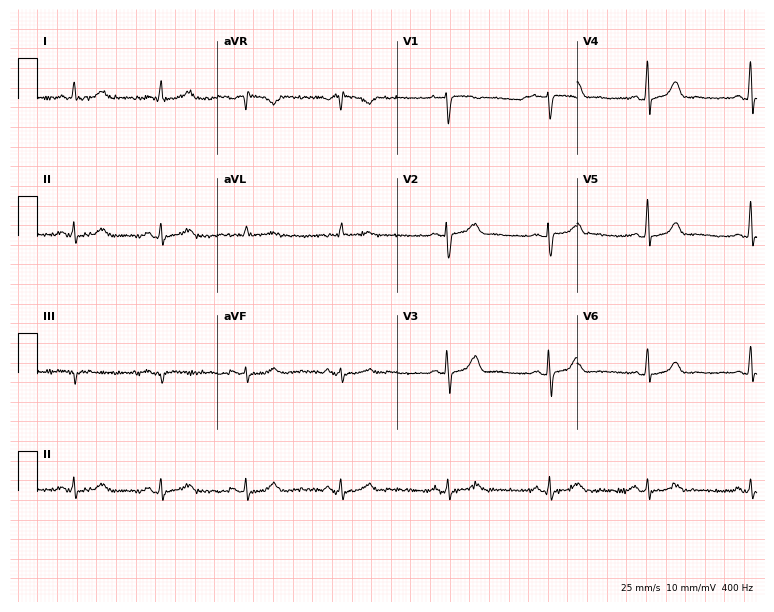
Resting 12-lead electrocardiogram. Patient: a woman, 49 years old. None of these six findings is recorded: first-degree AV block, right bundle branch block, left bundle branch block, sinus bradycardia, atrial fibrillation, sinus tachycardia.